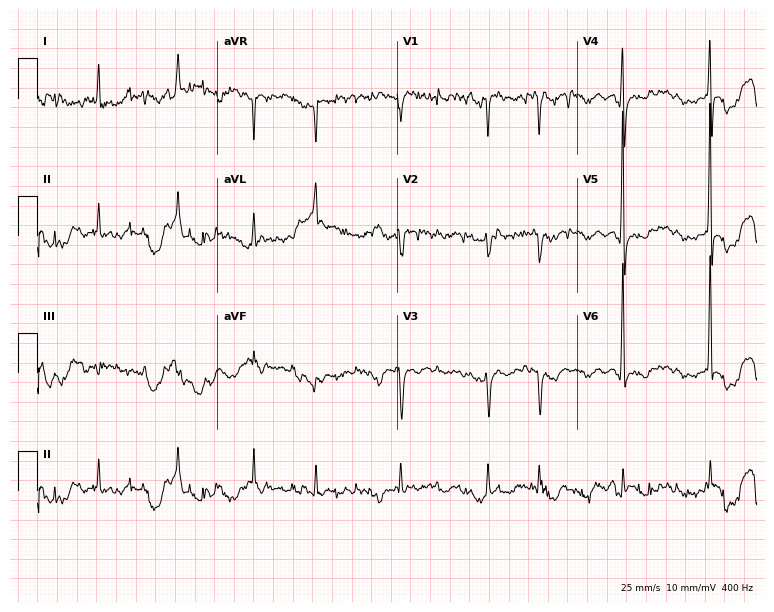
Electrocardiogram (7.3-second recording at 400 Hz), an 85-year-old female. Of the six screened findings (first-degree AV block, right bundle branch block, left bundle branch block, sinus bradycardia, atrial fibrillation, sinus tachycardia), none is recorded.